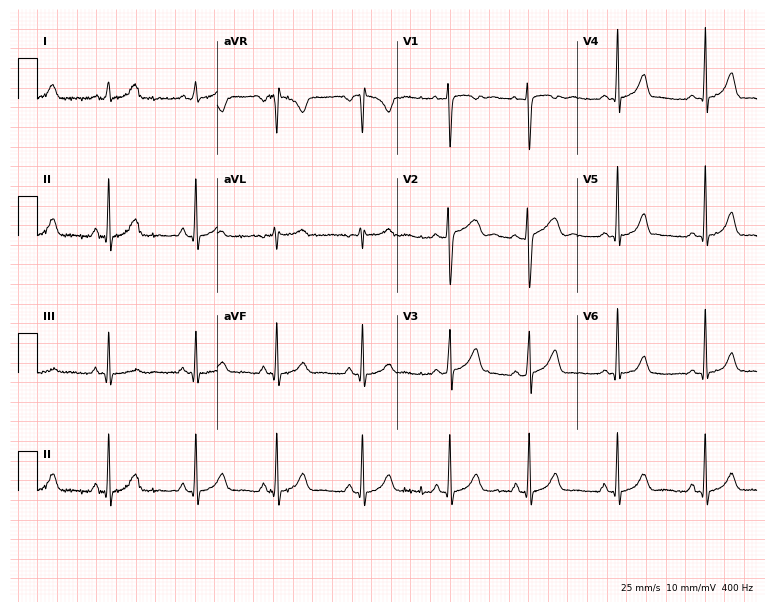
ECG — a 26-year-old female. Screened for six findings — first-degree AV block, right bundle branch block (RBBB), left bundle branch block (LBBB), sinus bradycardia, atrial fibrillation (AF), sinus tachycardia — none is recorded. Findings outside these six are not listed.